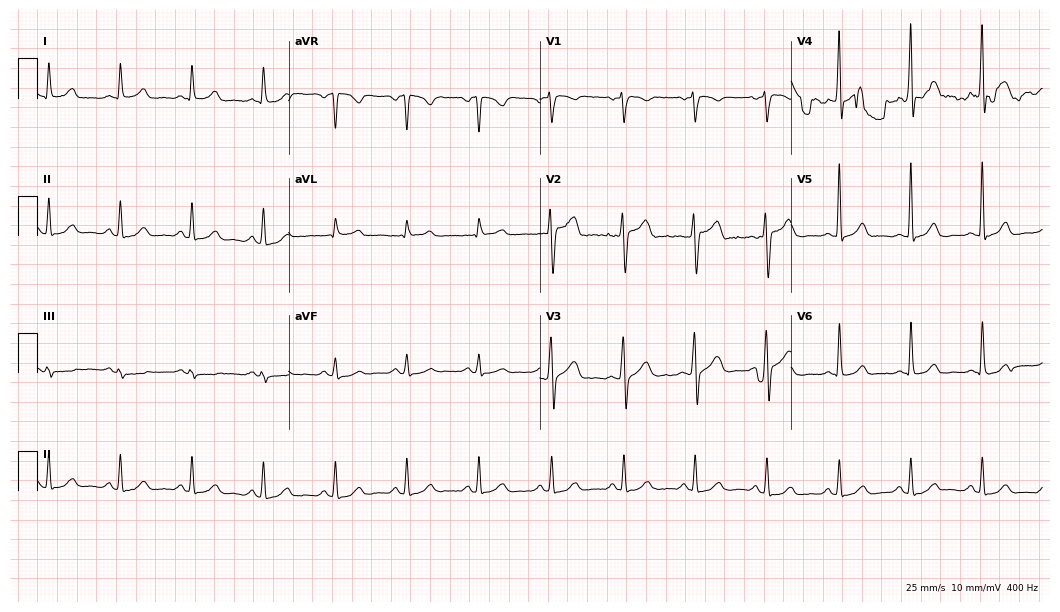
Resting 12-lead electrocardiogram (10.2-second recording at 400 Hz). Patient: a male, 40 years old. Read as a normal ECG.